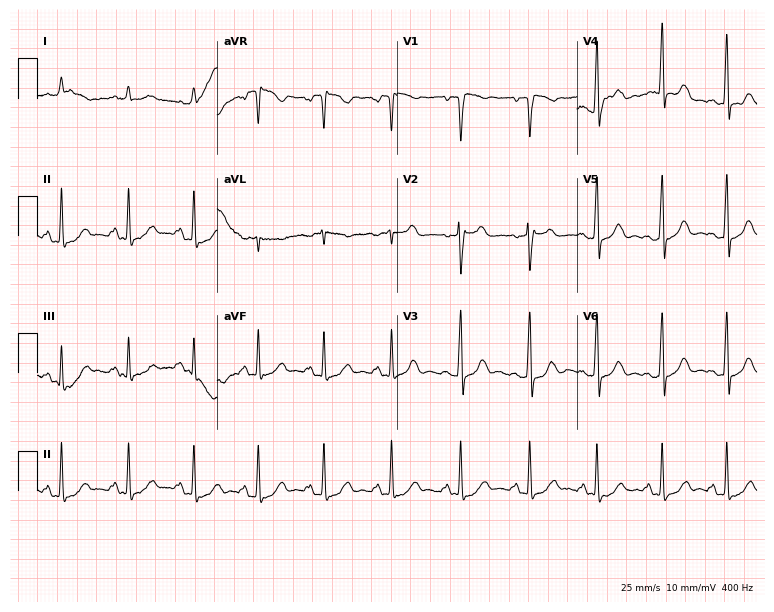
Resting 12-lead electrocardiogram. Patient: a 48-year-old female. None of these six findings is recorded: first-degree AV block, right bundle branch block, left bundle branch block, sinus bradycardia, atrial fibrillation, sinus tachycardia. Other findings, if any, are not listed.